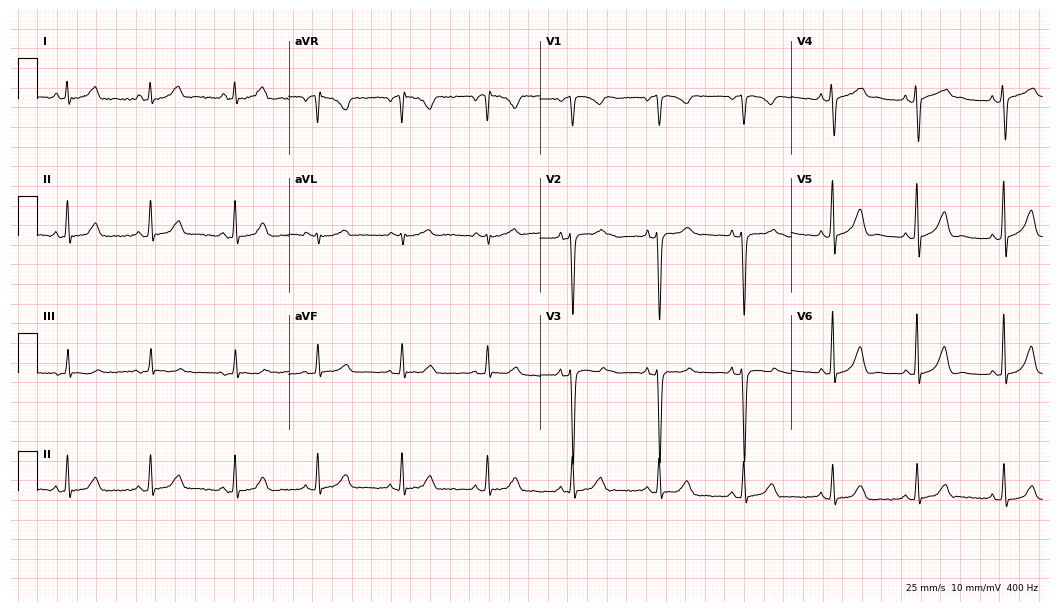
12-lead ECG from a 46-year-old male. Recorded interpretation: within normal limits.